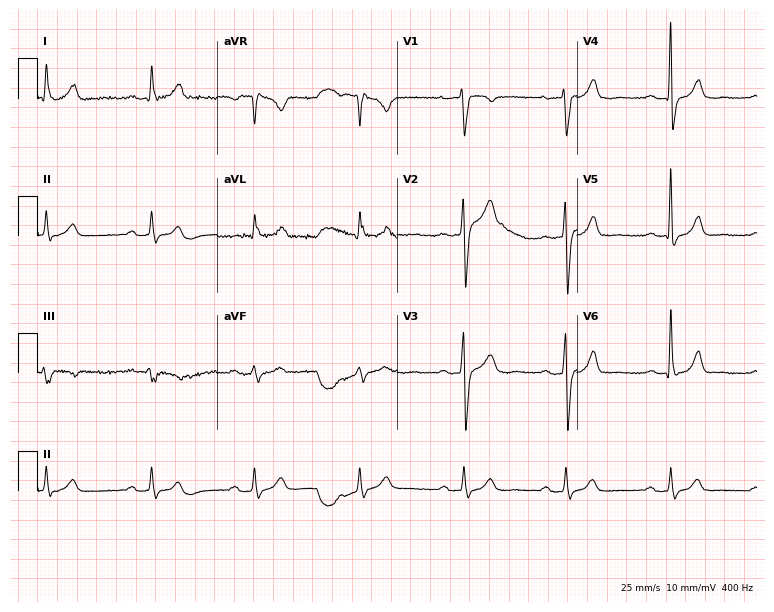
Resting 12-lead electrocardiogram (7.3-second recording at 400 Hz). Patient: a male, 55 years old. None of these six findings is recorded: first-degree AV block, right bundle branch block, left bundle branch block, sinus bradycardia, atrial fibrillation, sinus tachycardia. Other findings, if any, are not listed.